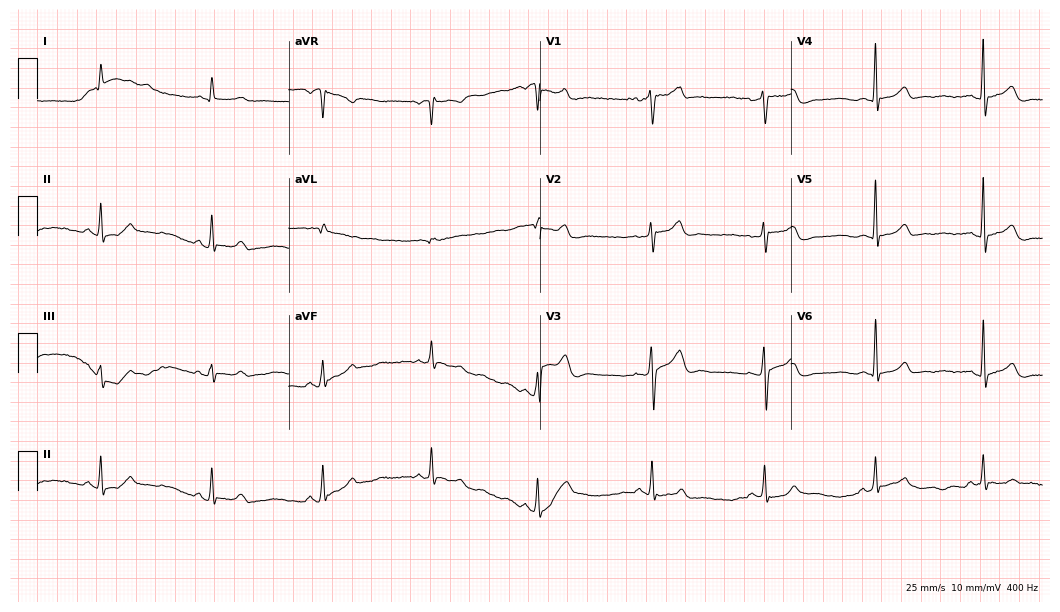
12-lead ECG from a 58-year-old male. Labelled as a normal ECG.